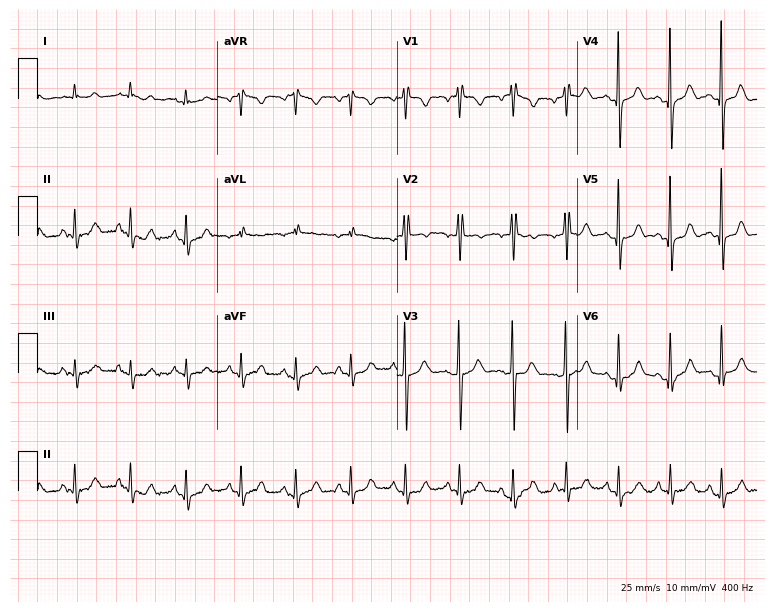
ECG — a man, 37 years old. Findings include sinus tachycardia (a sinus rate of 100 beats per minute or more).